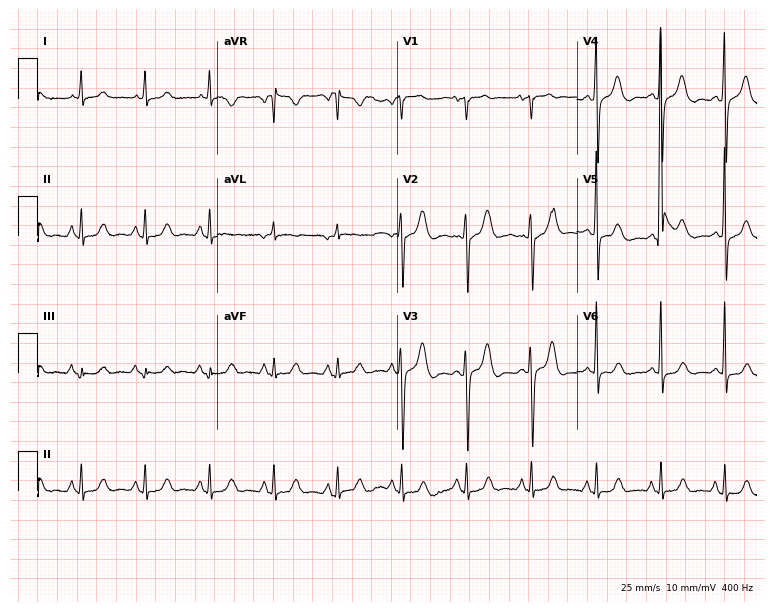
ECG — a 75-year-old female. Screened for six findings — first-degree AV block, right bundle branch block, left bundle branch block, sinus bradycardia, atrial fibrillation, sinus tachycardia — none is recorded.